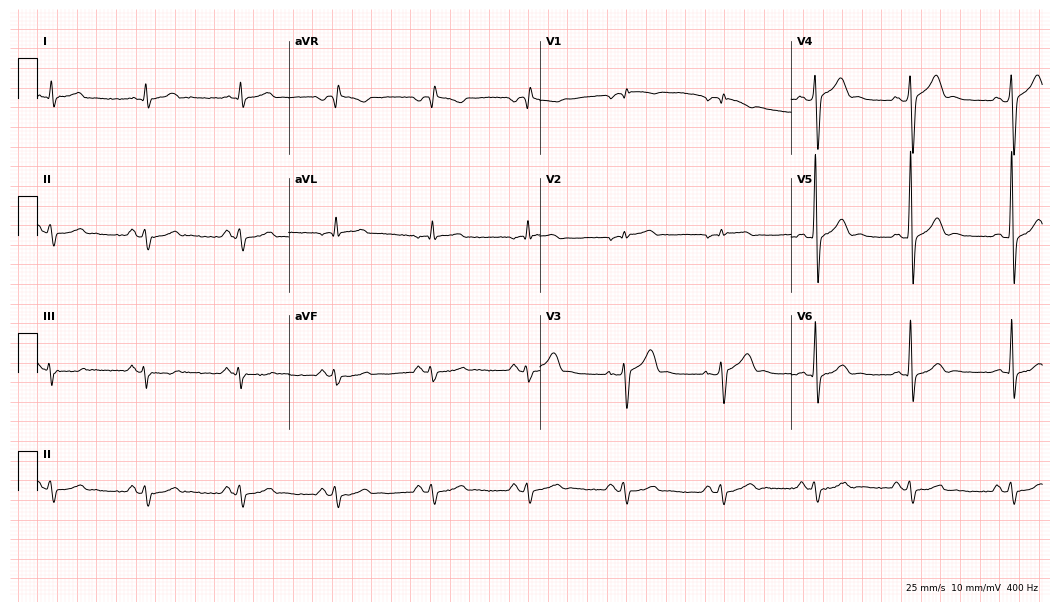
ECG — a man, 38 years old. Screened for six findings — first-degree AV block, right bundle branch block, left bundle branch block, sinus bradycardia, atrial fibrillation, sinus tachycardia — none is recorded.